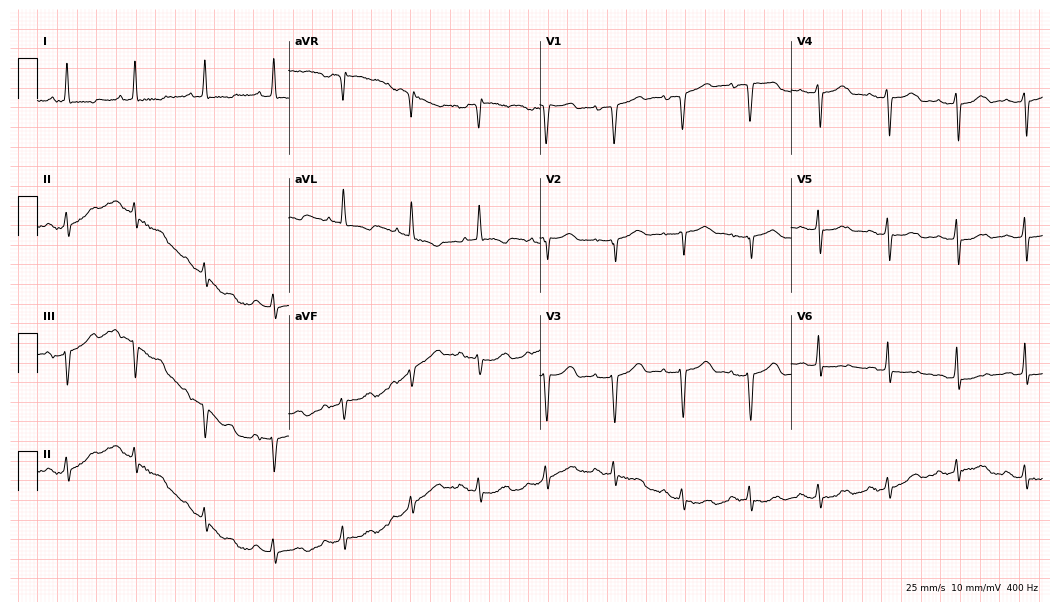
12-lead ECG from a female patient, 77 years old. No first-degree AV block, right bundle branch block, left bundle branch block, sinus bradycardia, atrial fibrillation or sinus tachycardia recorded for this tracing.